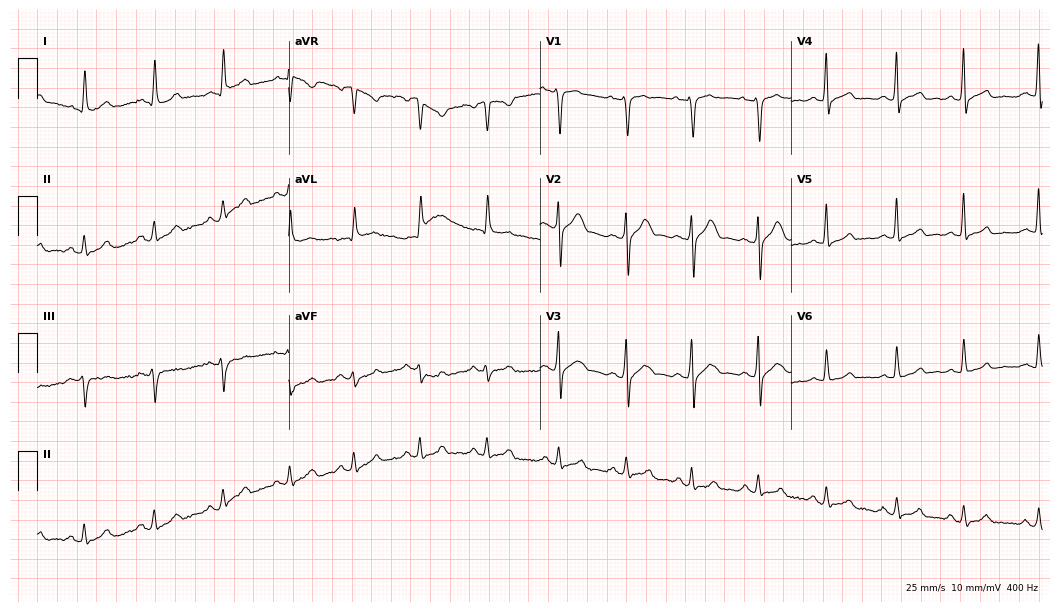
Resting 12-lead electrocardiogram (10.2-second recording at 400 Hz). Patient: a 39-year-old man. Read as a normal ECG.